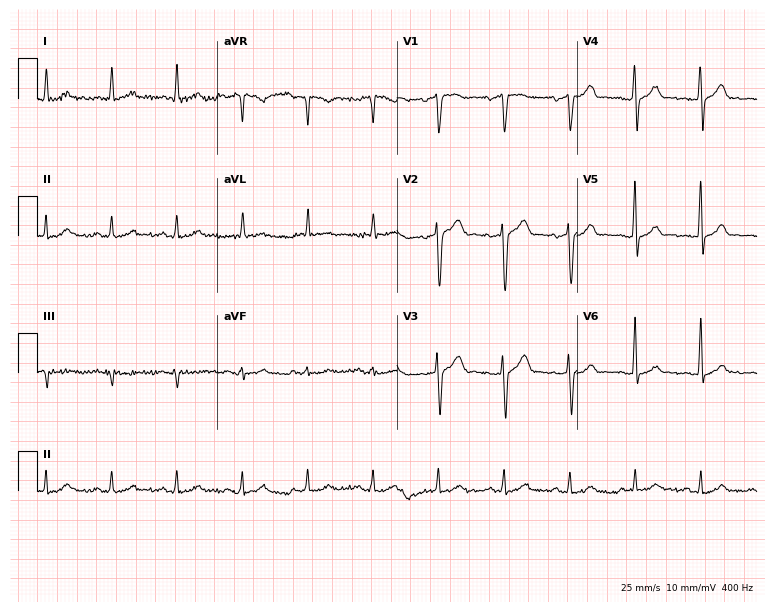
12-lead ECG from a man, 71 years old (7.3-second recording at 400 Hz). Recorded interpretation: within normal limits.